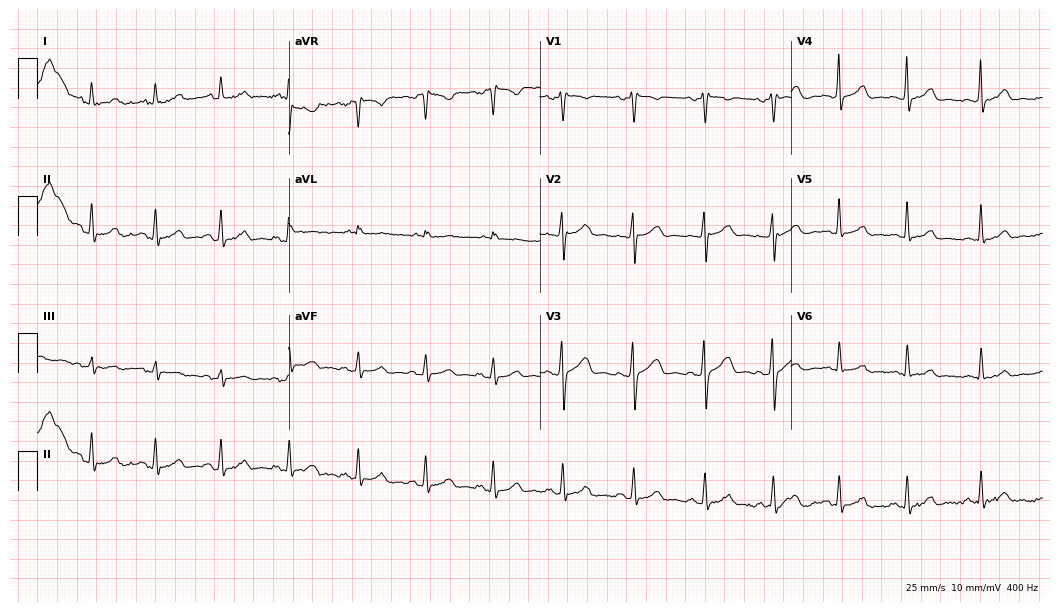
12-lead ECG (10.2-second recording at 400 Hz) from a 27-year-old woman. Screened for six findings — first-degree AV block, right bundle branch block, left bundle branch block, sinus bradycardia, atrial fibrillation, sinus tachycardia — none is recorded.